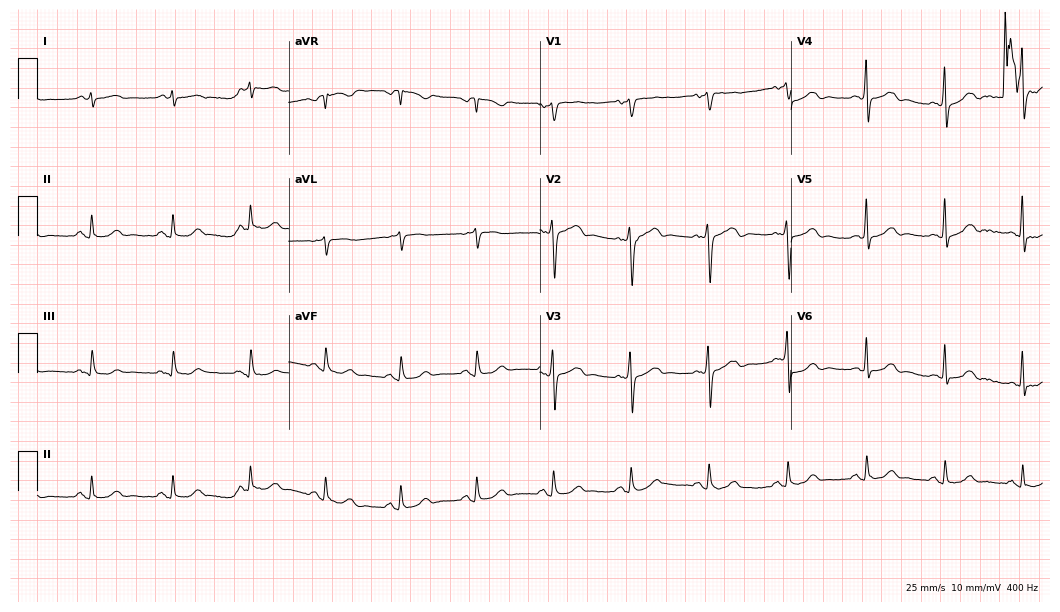
12-lead ECG from a 72-year-old male patient (10.2-second recording at 400 Hz). No first-degree AV block, right bundle branch block (RBBB), left bundle branch block (LBBB), sinus bradycardia, atrial fibrillation (AF) or sinus tachycardia recorded for this tracing. Other findings, if any, are not listed.